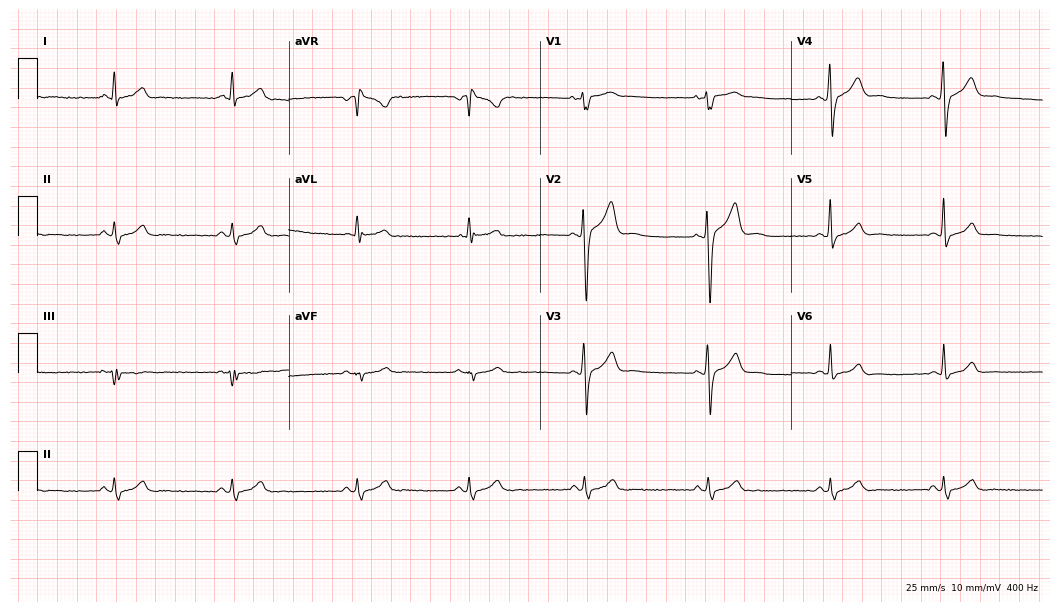
Standard 12-lead ECG recorded from a 30-year-old man (10.2-second recording at 400 Hz). None of these six findings is recorded: first-degree AV block, right bundle branch block, left bundle branch block, sinus bradycardia, atrial fibrillation, sinus tachycardia.